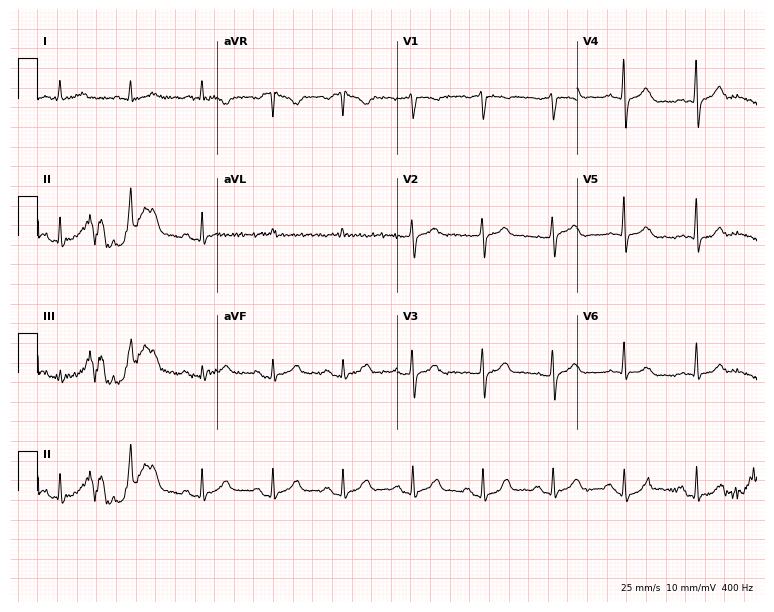
Resting 12-lead electrocardiogram. Patient: a 64-year-old man. None of these six findings is recorded: first-degree AV block, right bundle branch block, left bundle branch block, sinus bradycardia, atrial fibrillation, sinus tachycardia.